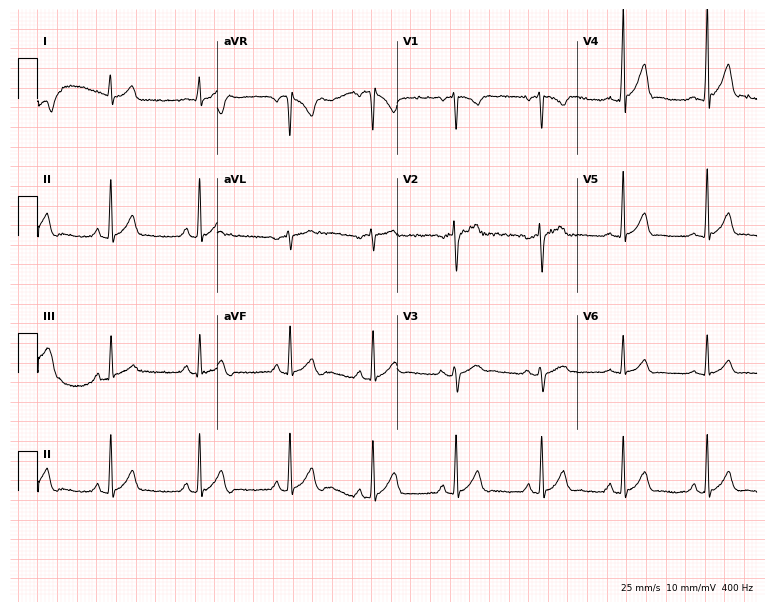
ECG (7.3-second recording at 400 Hz) — a male, 19 years old. Labelled as a normal ECG.